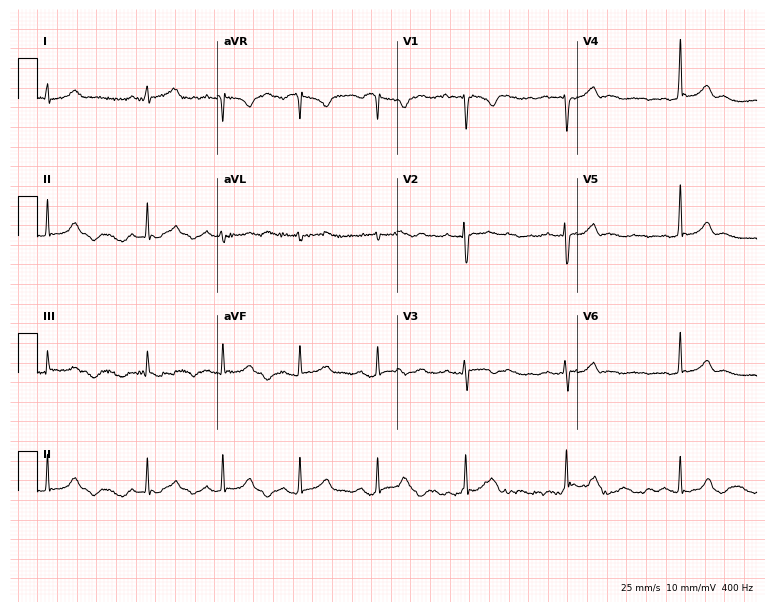
Standard 12-lead ECG recorded from an 18-year-old woman (7.3-second recording at 400 Hz). None of these six findings is recorded: first-degree AV block, right bundle branch block (RBBB), left bundle branch block (LBBB), sinus bradycardia, atrial fibrillation (AF), sinus tachycardia. Findings outside these six are not listed.